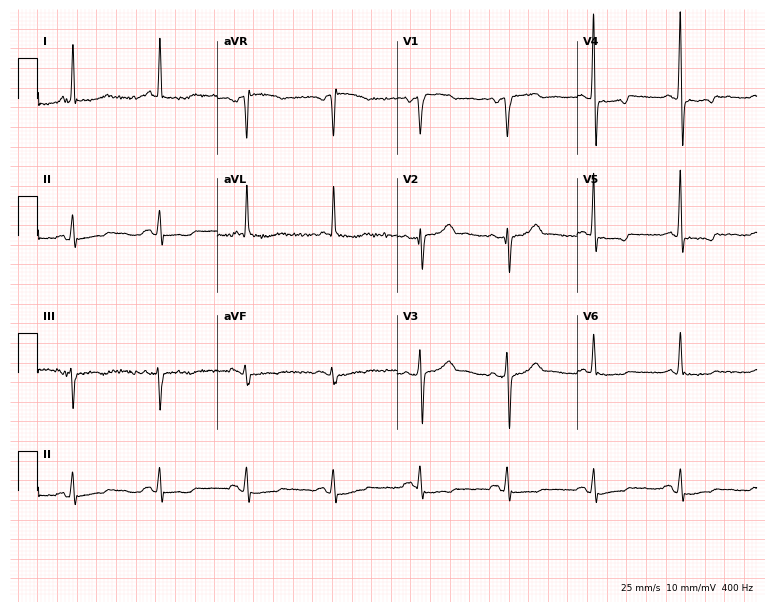
ECG (7.3-second recording at 400 Hz) — a 66-year-old male. Screened for six findings — first-degree AV block, right bundle branch block, left bundle branch block, sinus bradycardia, atrial fibrillation, sinus tachycardia — none is recorded.